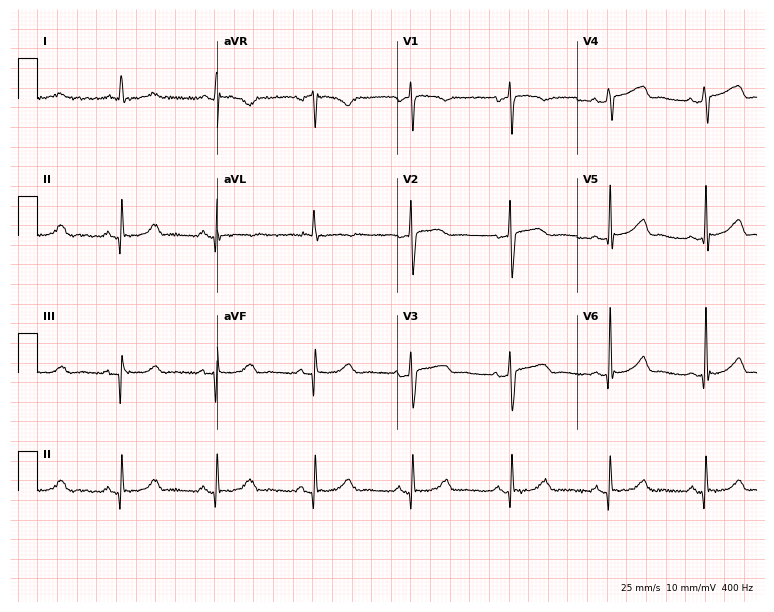
Resting 12-lead electrocardiogram. Patient: a 51-year-old woman. Read as a normal ECG.